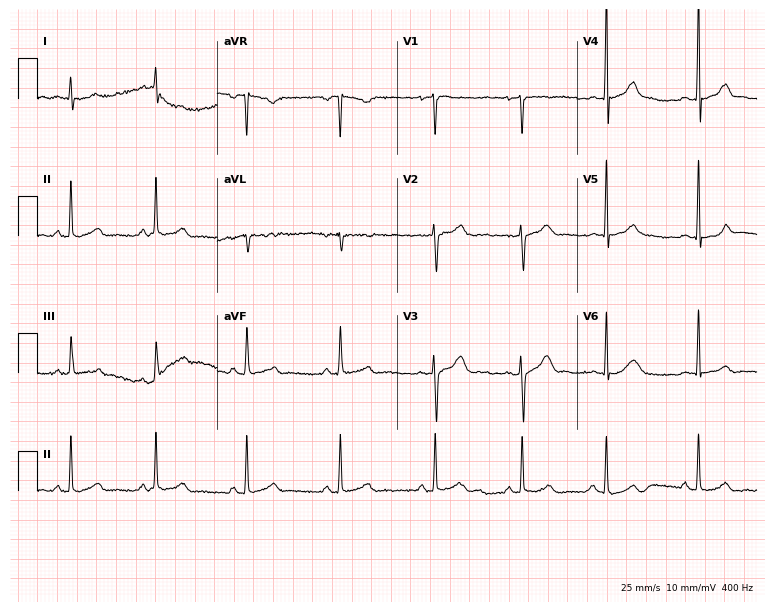
Electrocardiogram (7.3-second recording at 400 Hz), a female, 17 years old. Overall reading on record: normal ECG.